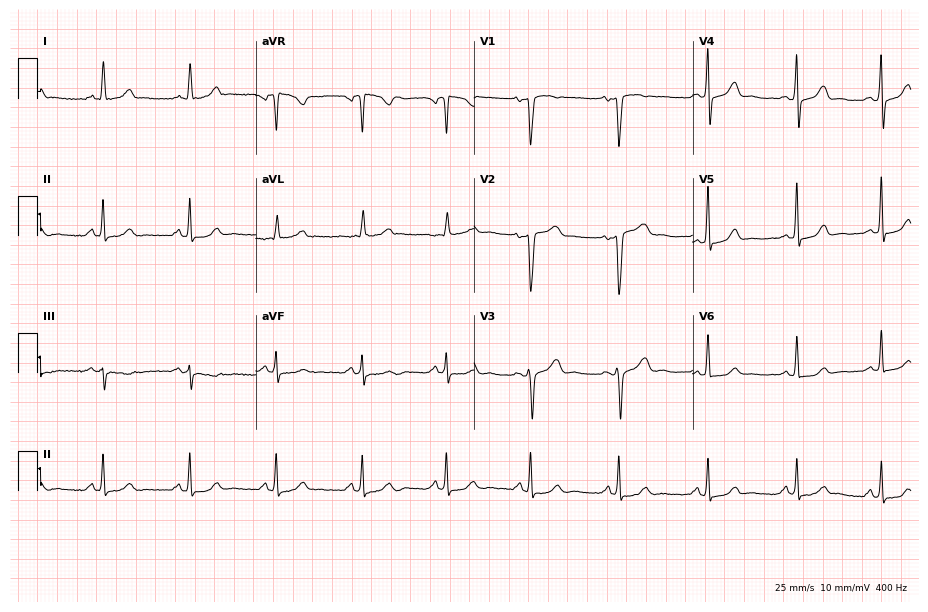
ECG (8.9-second recording at 400 Hz) — a 52-year-old female. Screened for six findings — first-degree AV block, right bundle branch block (RBBB), left bundle branch block (LBBB), sinus bradycardia, atrial fibrillation (AF), sinus tachycardia — none is recorded. Findings outside these six are not listed.